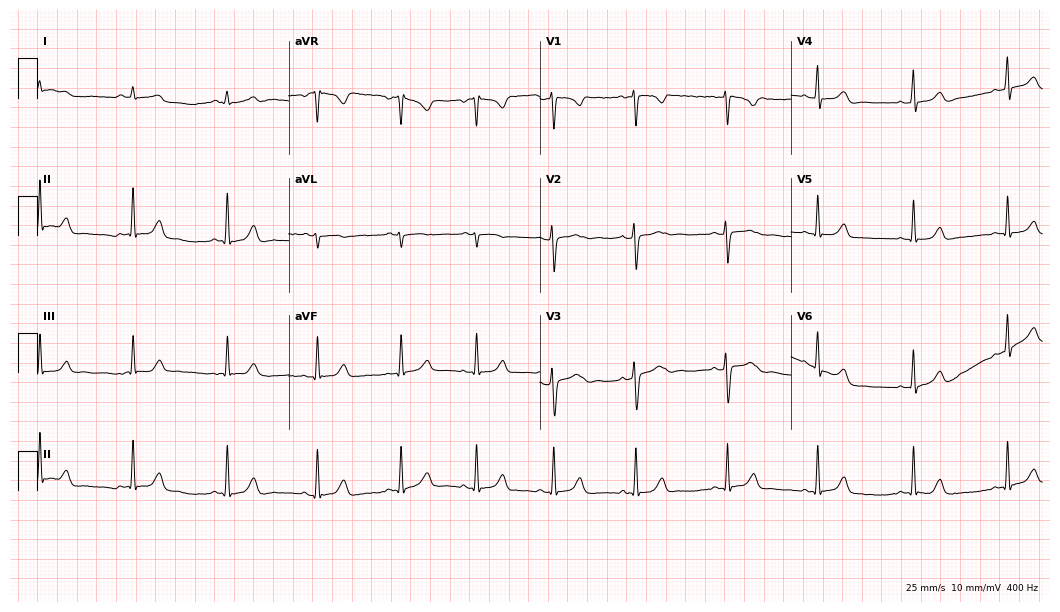
Resting 12-lead electrocardiogram (10.2-second recording at 400 Hz). Patient: a woman, 26 years old. None of these six findings is recorded: first-degree AV block, right bundle branch block, left bundle branch block, sinus bradycardia, atrial fibrillation, sinus tachycardia. Other findings, if any, are not listed.